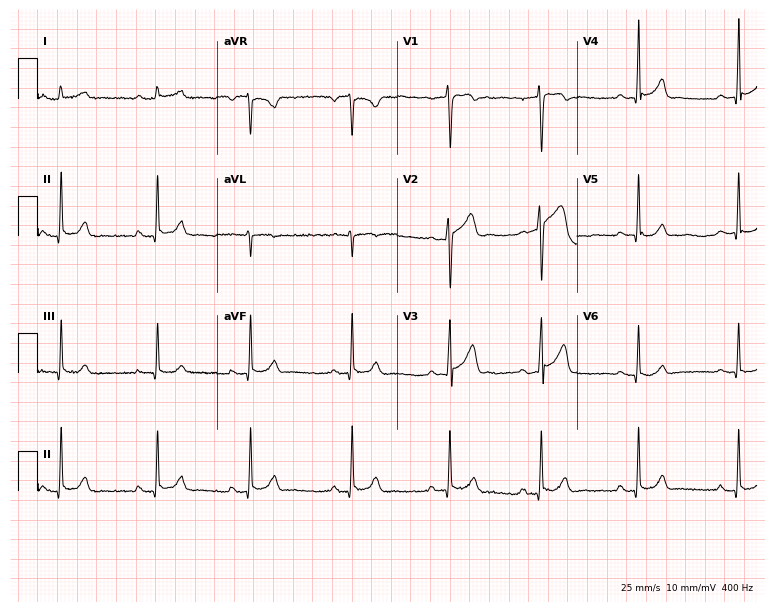
Electrocardiogram, a 19-year-old man. Overall reading on record: normal ECG.